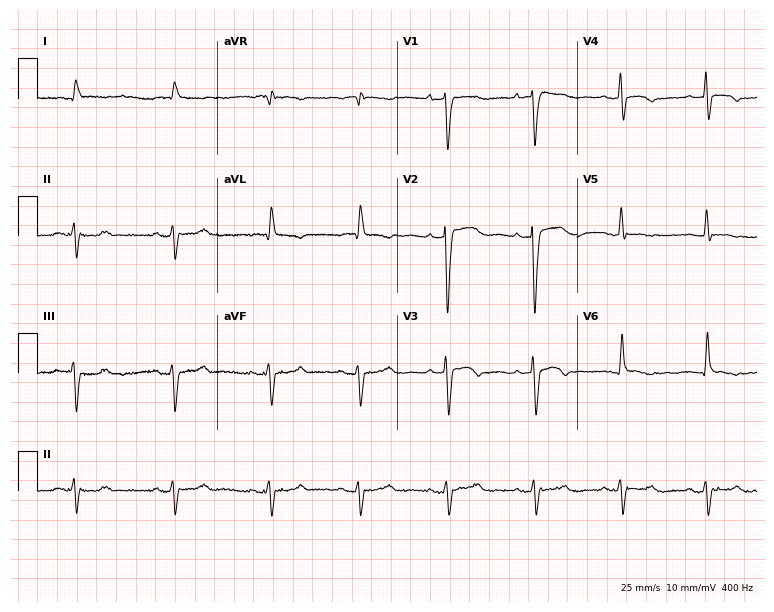
Electrocardiogram, a 57-year-old male. Of the six screened findings (first-degree AV block, right bundle branch block, left bundle branch block, sinus bradycardia, atrial fibrillation, sinus tachycardia), none is recorded.